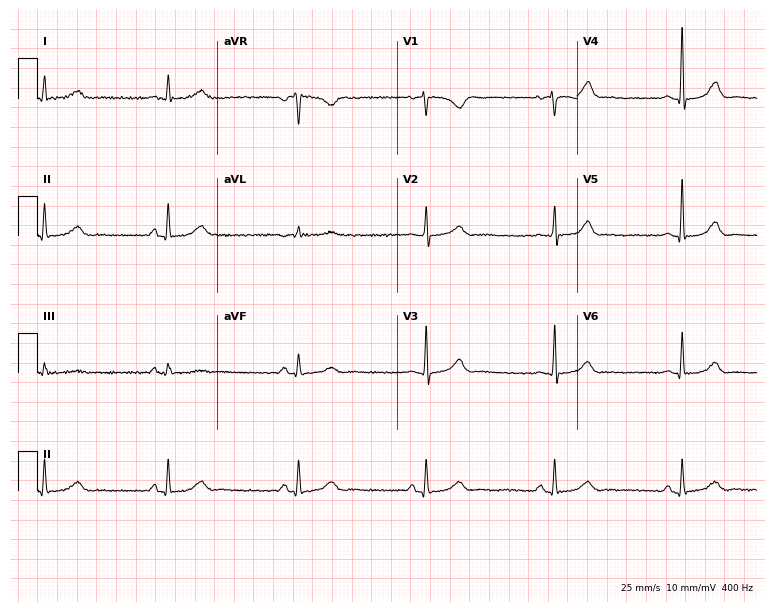
Resting 12-lead electrocardiogram. Patient: a 52-year-old female. Read as a normal ECG.